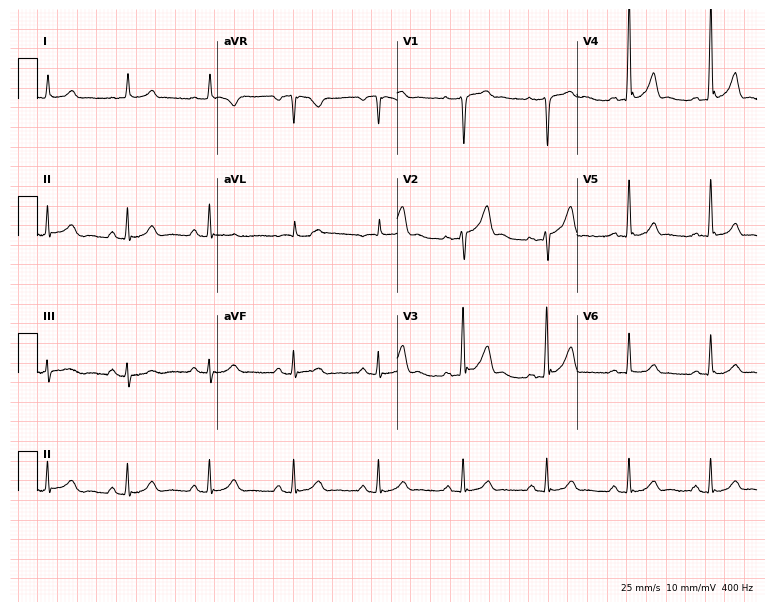
12-lead ECG from a 62-year-old male patient. Labelled as a normal ECG.